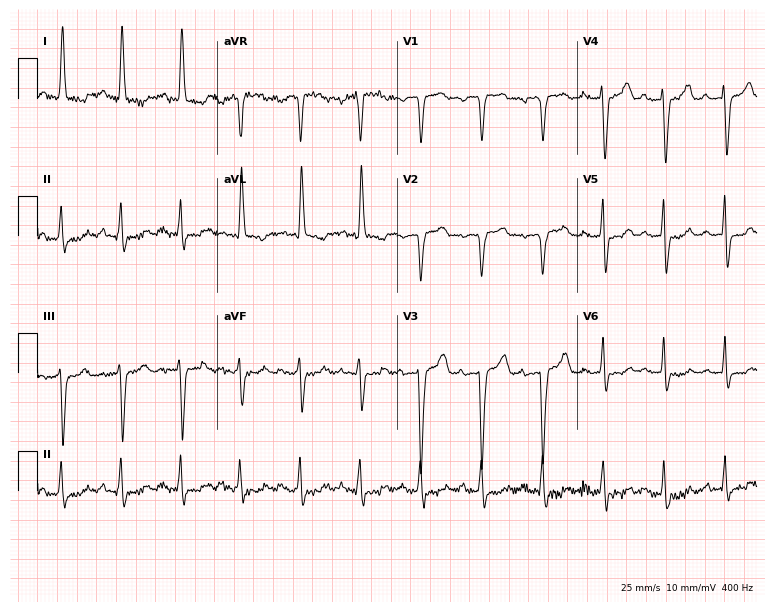
Electrocardiogram (7.3-second recording at 400 Hz), a woman, 66 years old. Of the six screened findings (first-degree AV block, right bundle branch block, left bundle branch block, sinus bradycardia, atrial fibrillation, sinus tachycardia), none is recorded. Only these six findings were labelled.